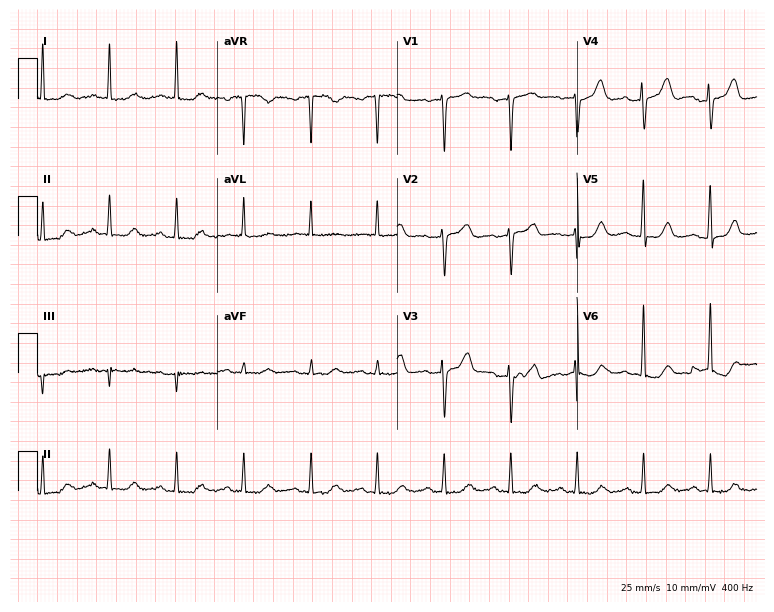
12-lead ECG from a woman, 65 years old. No first-degree AV block, right bundle branch block, left bundle branch block, sinus bradycardia, atrial fibrillation or sinus tachycardia recorded for this tracing.